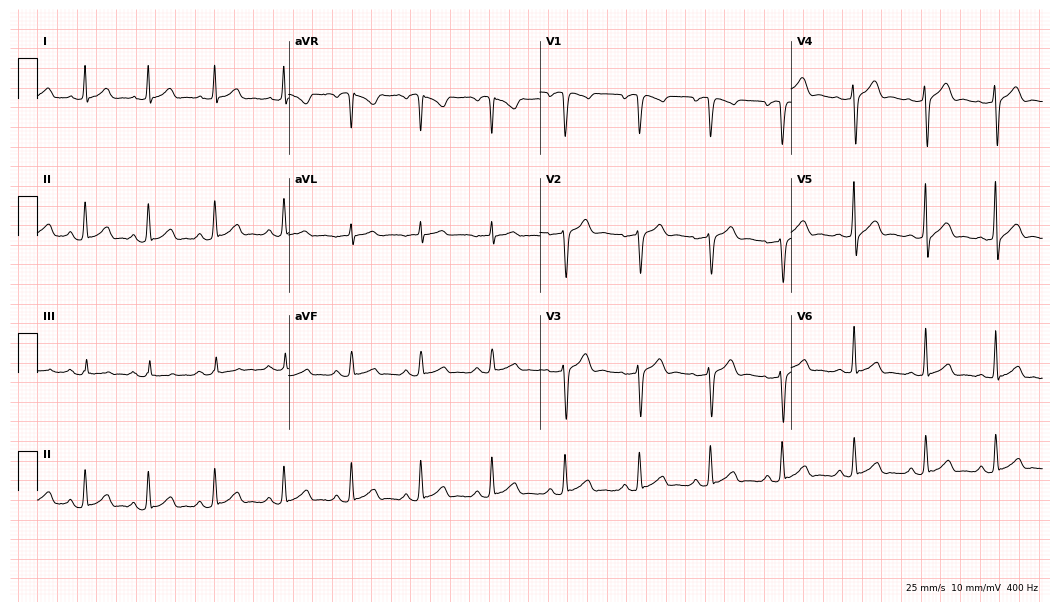
Resting 12-lead electrocardiogram. Patient: a man, 35 years old. Read as a normal ECG.